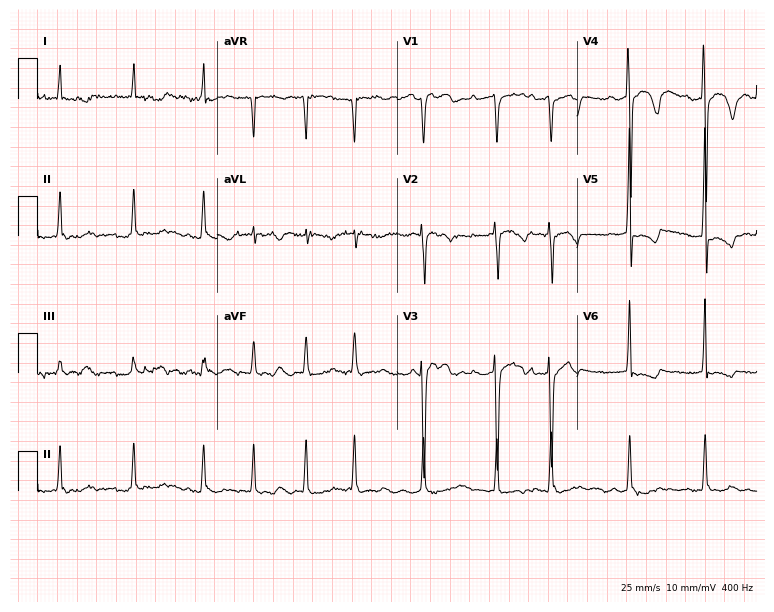
Standard 12-lead ECG recorded from a female patient, 76 years old (7.3-second recording at 400 Hz). The tracing shows atrial fibrillation (AF).